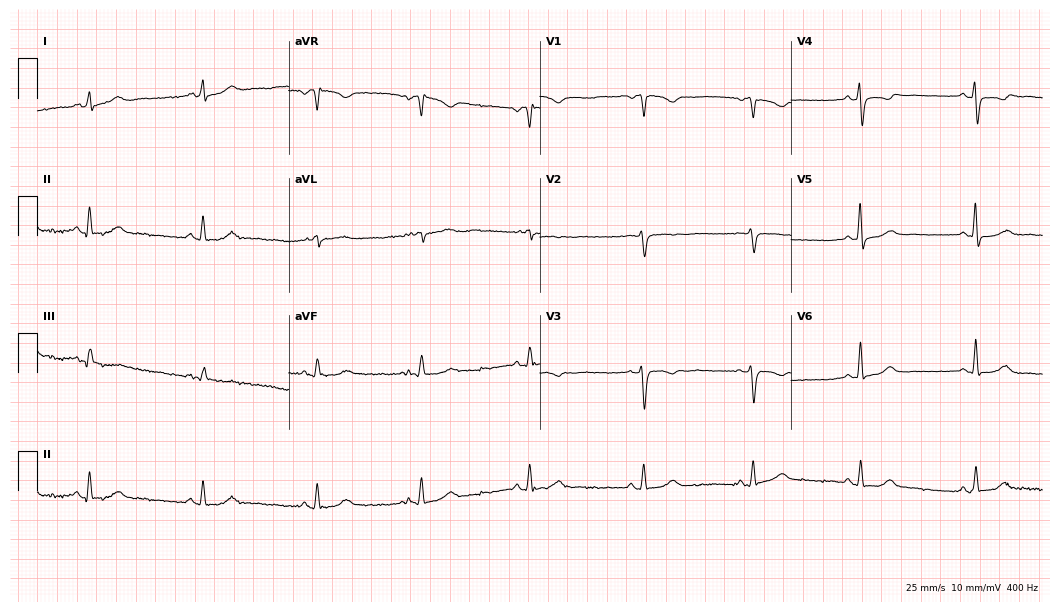
ECG — a woman, 47 years old. Labelled as a normal ECG.